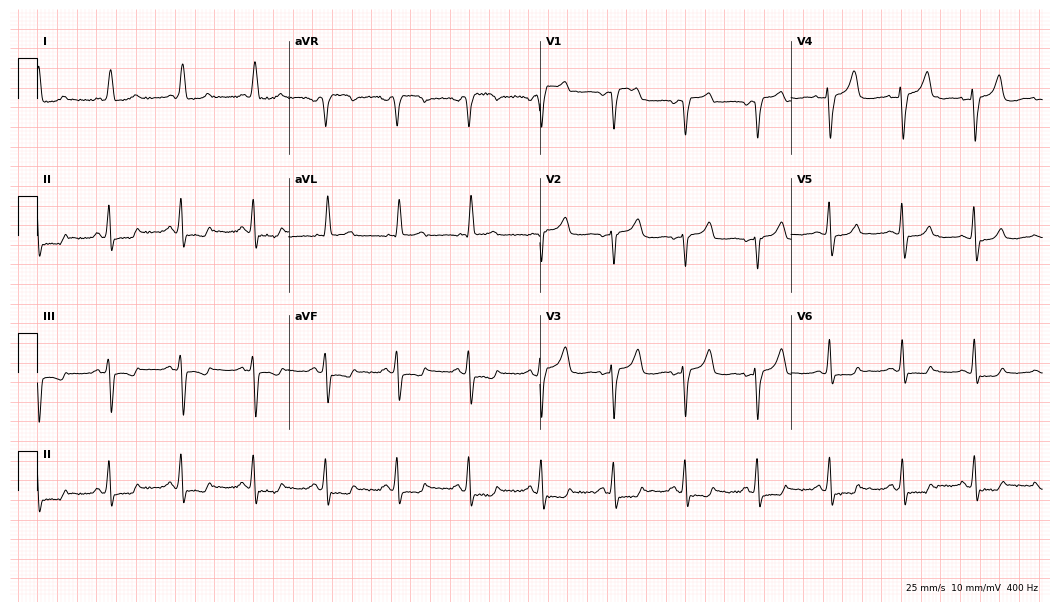
12-lead ECG (10.2-second recording at 400 Hz) from a female, 69 years old. Screened for six findings — first-degree AV block, right bundle branch block, left bundle branch block, sinus bradycardia, atrial fibrillation, sinus tachycardia — none is recorded. Findings outside these six are not listed.